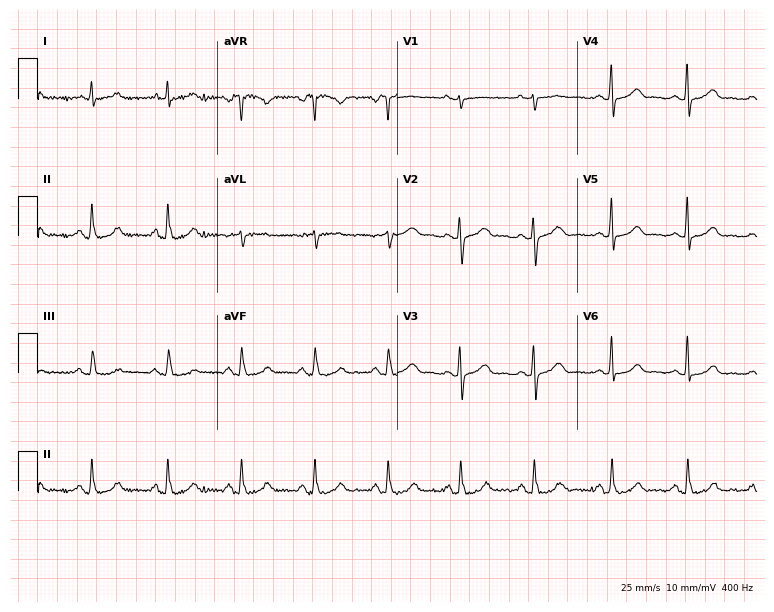
12-lead ECG from a 49-year-old female patient. Labelled as a normal ECG.